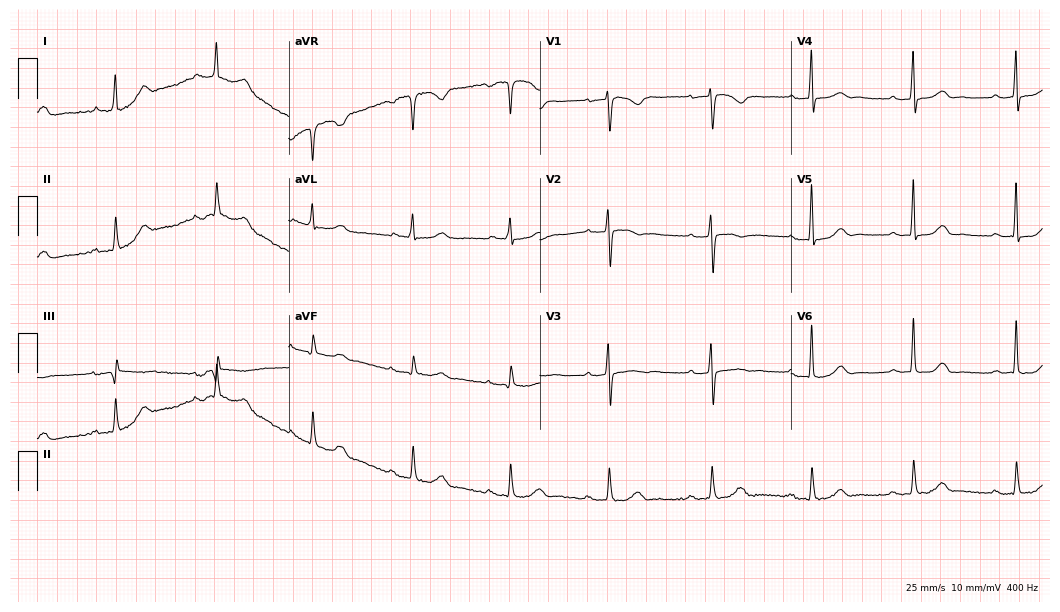
12-lead ECG from a 52-year-old woman. Recorded interpretation: within normal limits.